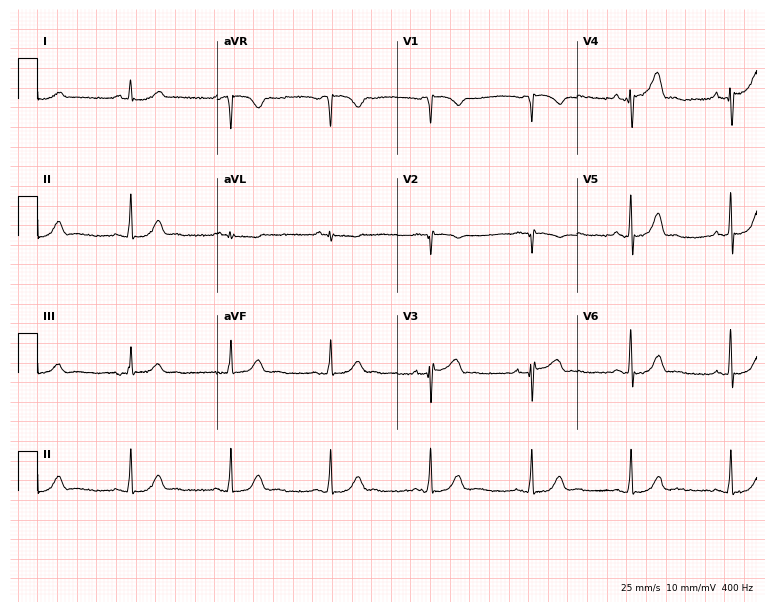
Electrocardiogram (7.3-second recording at 400 Hz), a 65-year-old male patient. Overall reading on record: normal ECG.